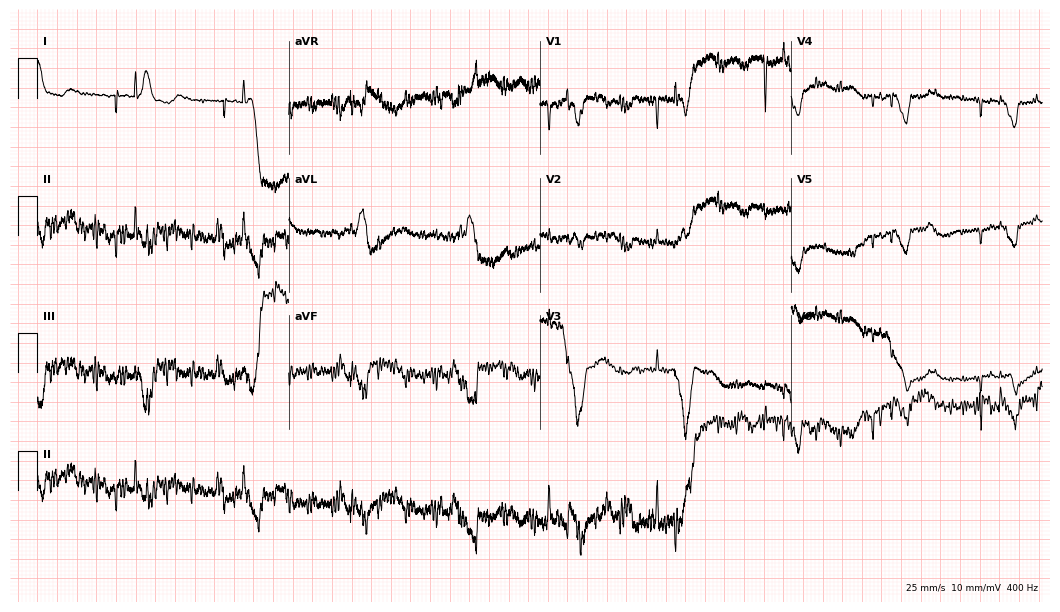
Resting 12-lead electrocardiogram (10.2-second recording at 400 Hz). Patient: a female, 83 years old. None of these six findings is recorded: first-degree AV block, right bundle branch block (RBBB), left bundle branch block (LBBB), sinus bradycardia, atrial fibrillation (AF), sinus tachycardia.